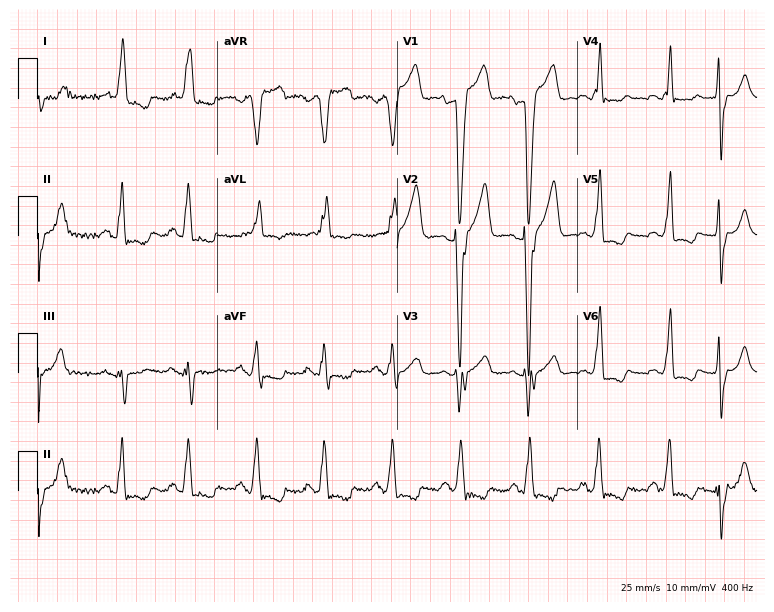
ECG — an 80-year-old female. Findings include left bundle branch block (LBBB).